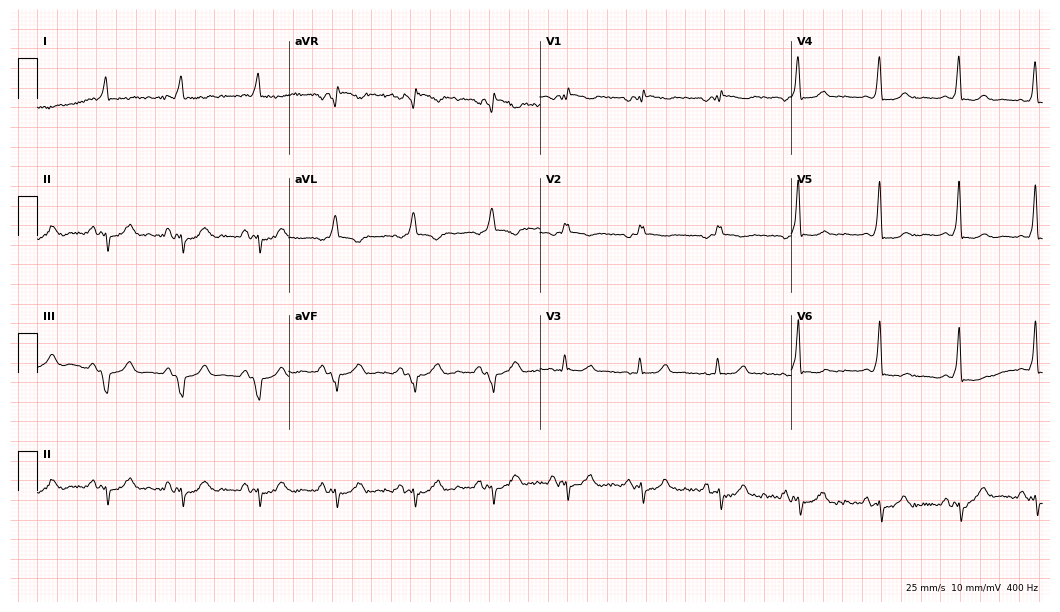
Electrocardiogram (10.2-second recording at 400 Hz), a 58-year-old woman. Of the six screened findings (first-degree AV block, right bundle branch block (RBBB), left bundle branch block (LBBB), sinus bradycardia, atrial fibrillation (AF), sinus tachycardia), none is recorded. Findings outside these six are not listed.